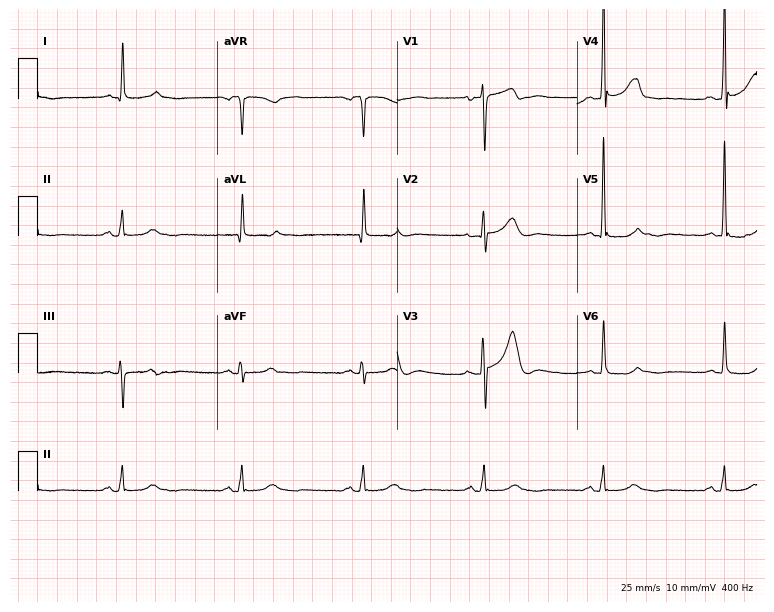
ECG — a male, 78 years old. Findings include sinus bradycardia (a sinus rate of 50 beats per minute or less).